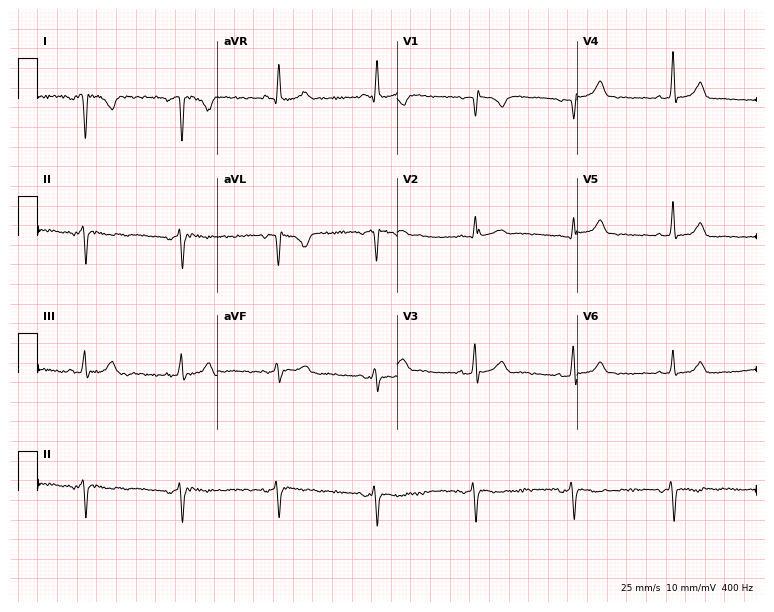
Standard 12-lead ECG recorded from a female, 56 years old (7.3-second recording at 400 Hz). None of these six findings is recorded: first-degree AV block, right bundle branch block (RBBB), left bundle branch block (LBBB), sinus bradycardia, atrial fibrillation (AF), sinus tachycardia.